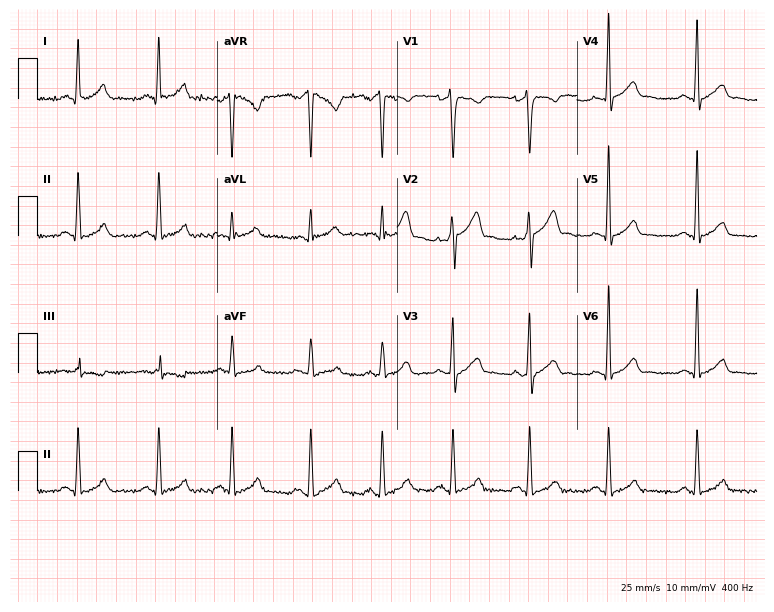
Electrocardiogram (7.3-second recording at 400 Hz), a 37-year-old male. Overall reading on record: normal ECG.